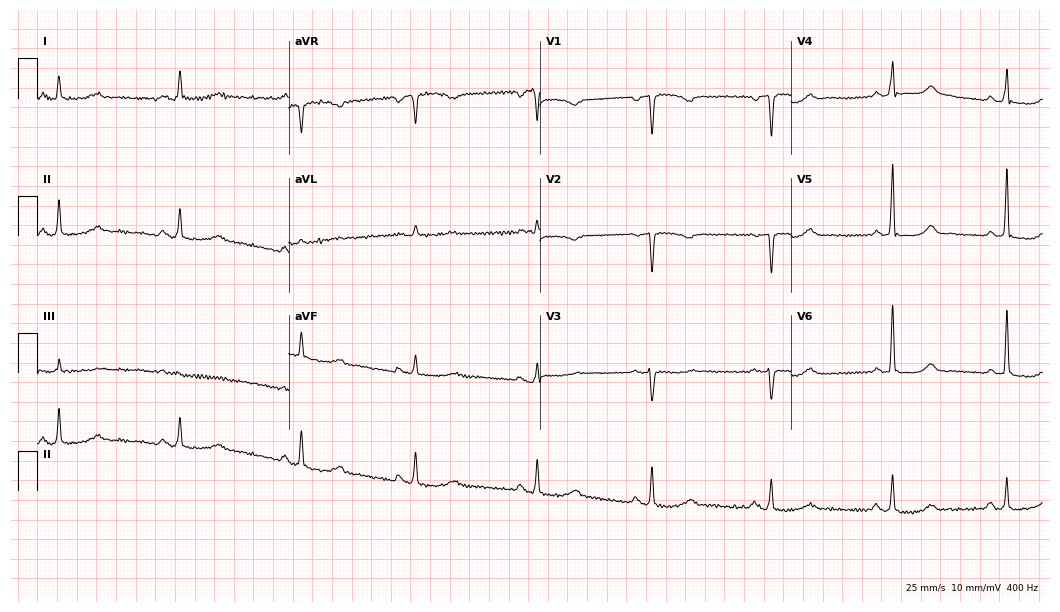
Resting 12-lead electrocardiogram. Patient: a female, 66 years old. The tracing shows sinus bradycardia (a sinus rate of 50 beats per minute or less).